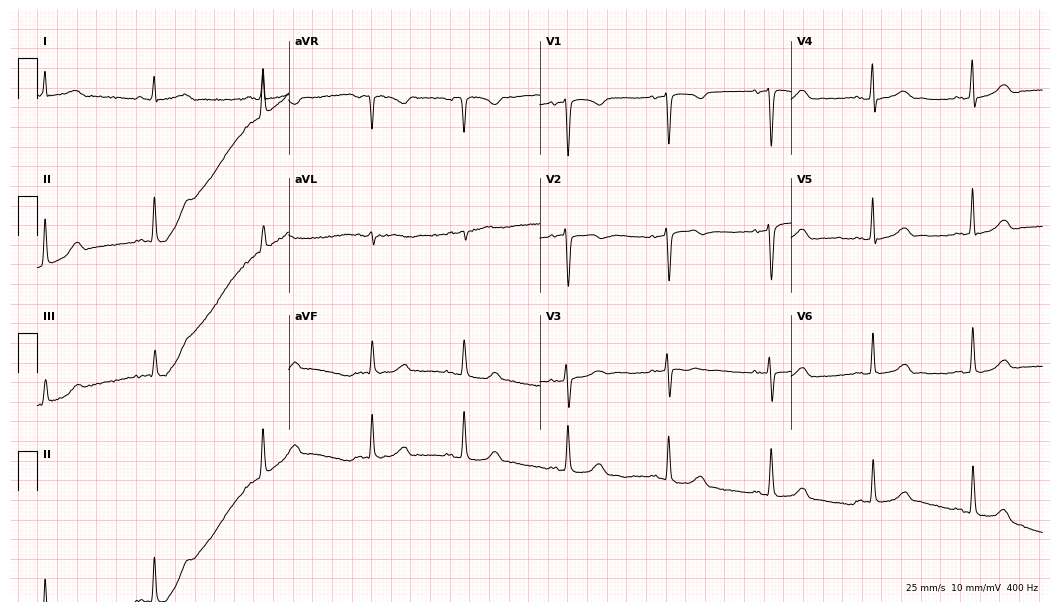
Standard 12-lead ECG recorded from a female, 49 years old (10.2-second recording at 400 Hz). Read as a normal ECG.